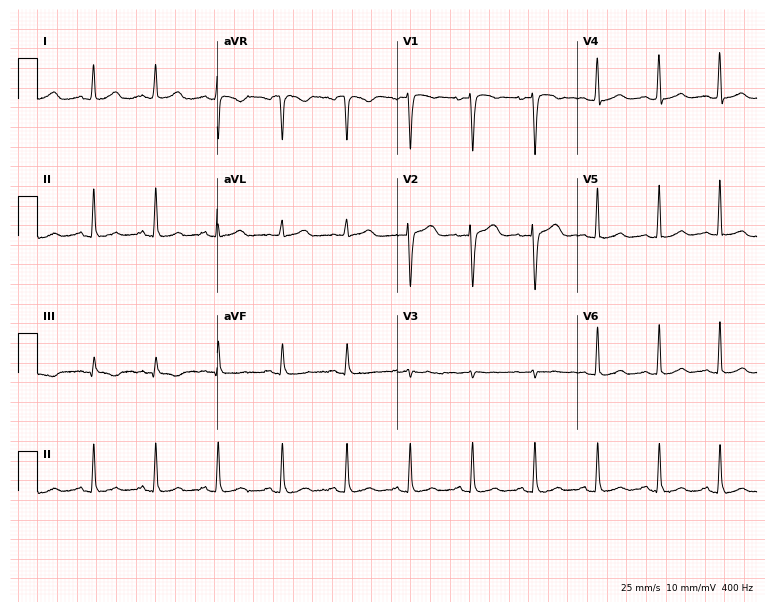
Electrocardiogram, a woman, 38 years old. Overall reading on record: normal ECG.